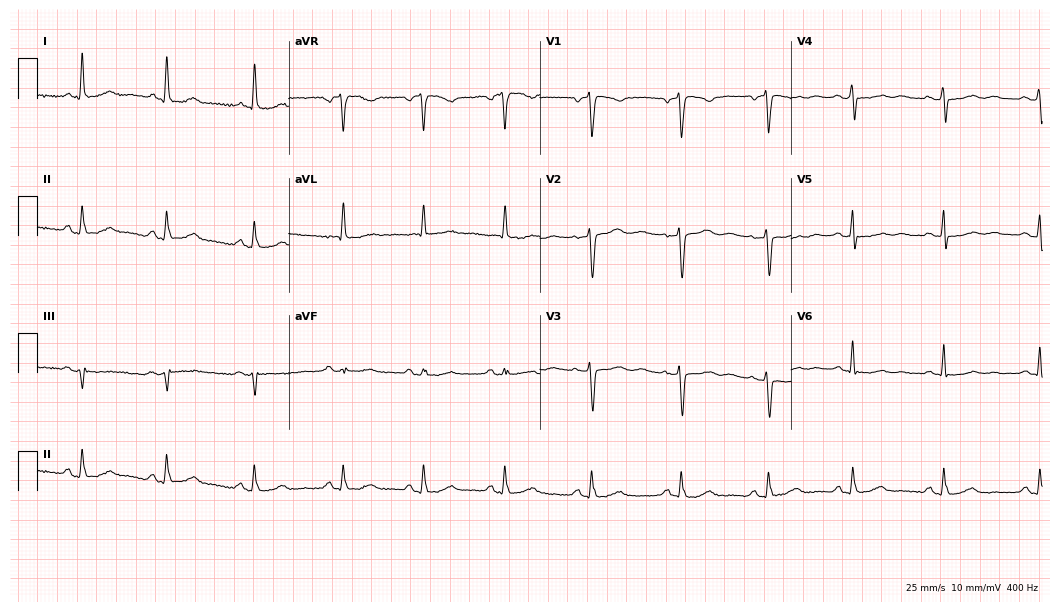
12-lead ECG from a 59-year-old female patient (10.2-second recording at 400 Hz). Recorded interpretation: within normal limits.